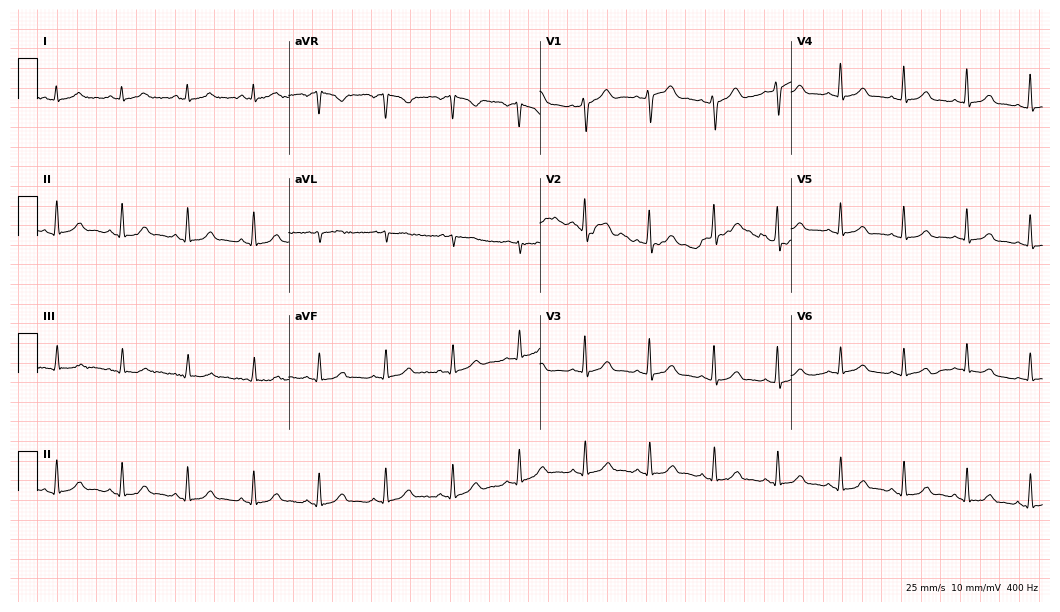
12-lead ECG (10.2-second recording at 400 Hz) from a 37-year-old woman. Labelled as a normal ECG.